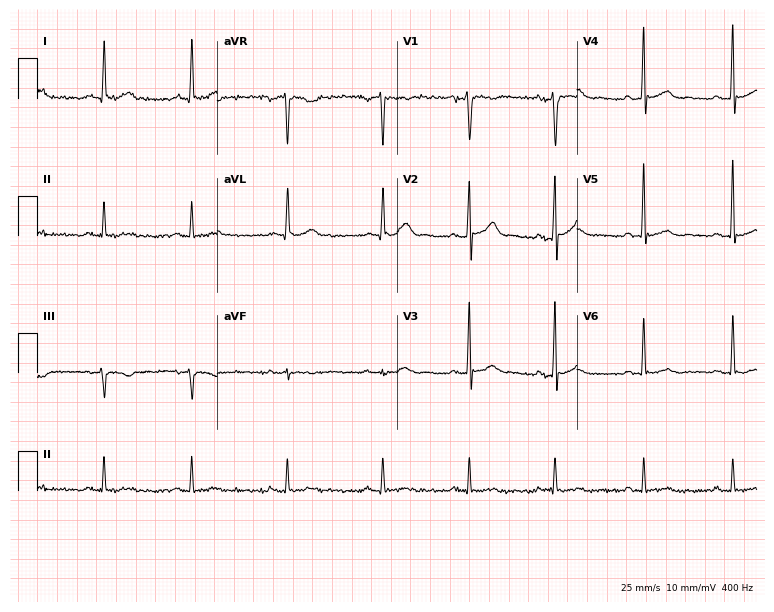
Electrocardiogram (7.3-second recording at 400 Hz), a 45-year-old male patient. Of the six screened findings (first-degree AV block, right bundle branch block, left bundle branch block, sinus bradycardia, atrial fibrillation, sinus tachycardia), none is recorded.